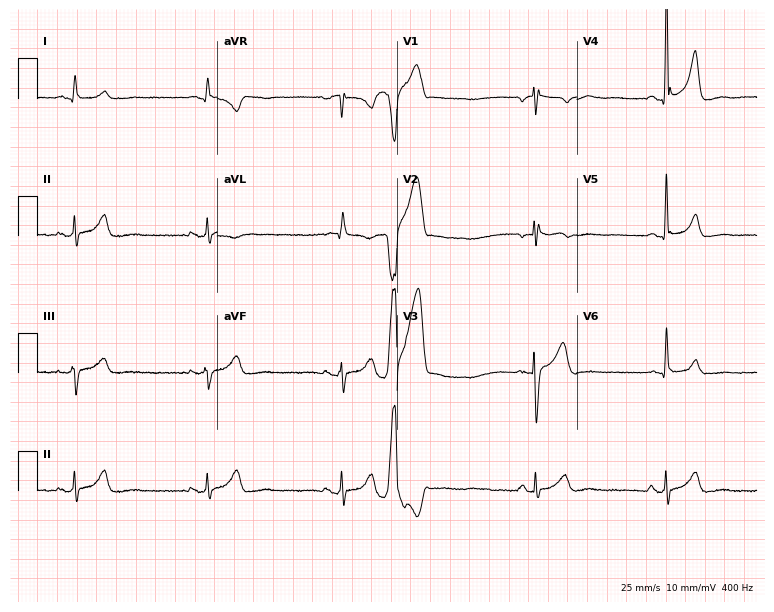
12-lead ECG from a 37-year-old male (7.3-second recording at 400 Hz). Shows sinus bradycardia (a sinus rate of 50 beats per minute or less).